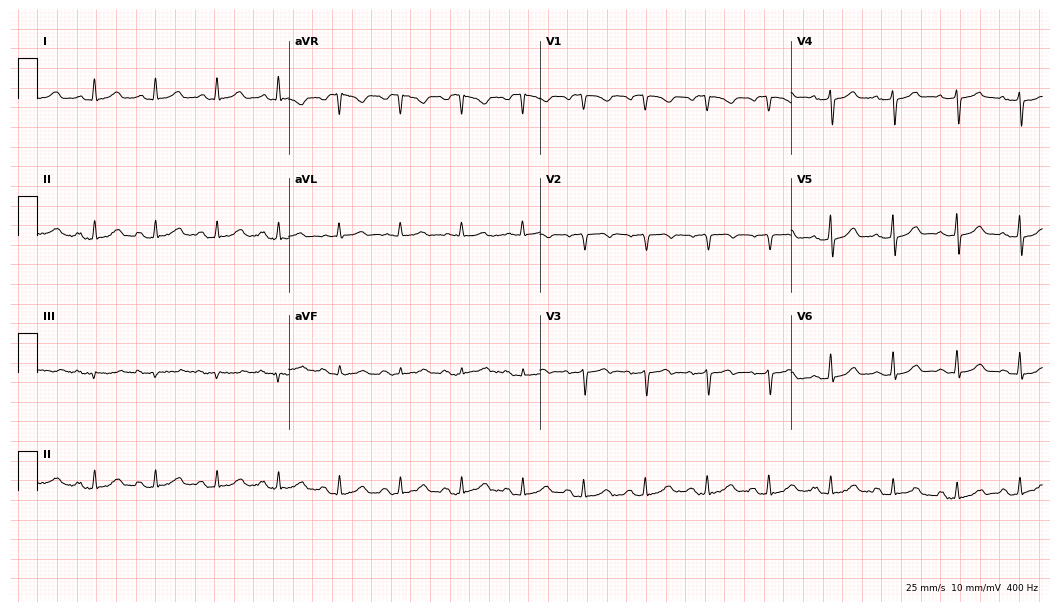
Electrocardiogram (10.2-second recording at 400 Hz), a female patient, 58 years old. Overall reading on record: normal ECG.